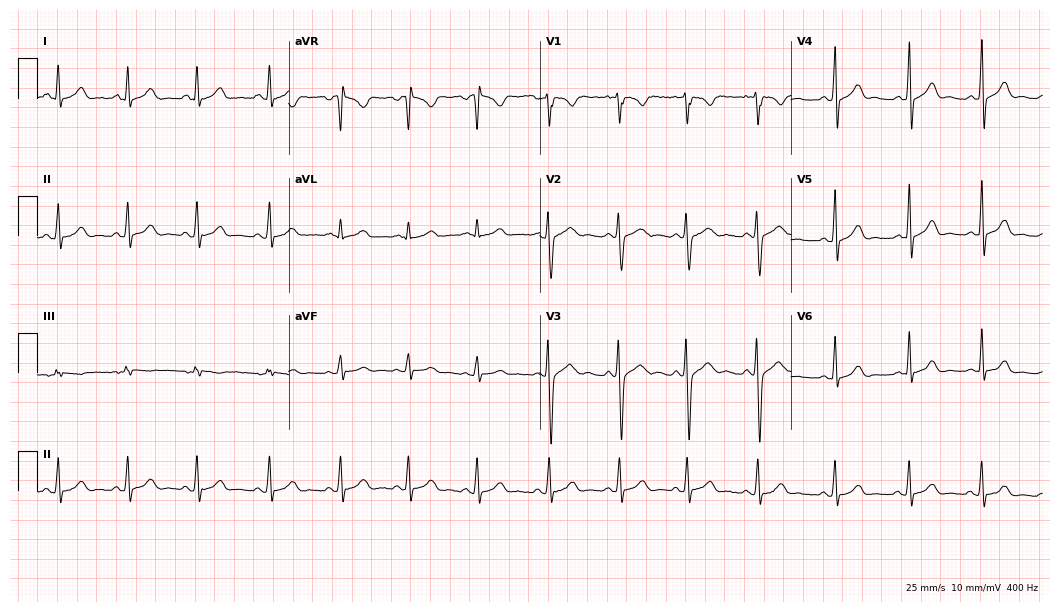
12-lead ECG (10.2-second recording at 400 Hz) from a female patient, 18 years old. Labelled as a normal ECG.